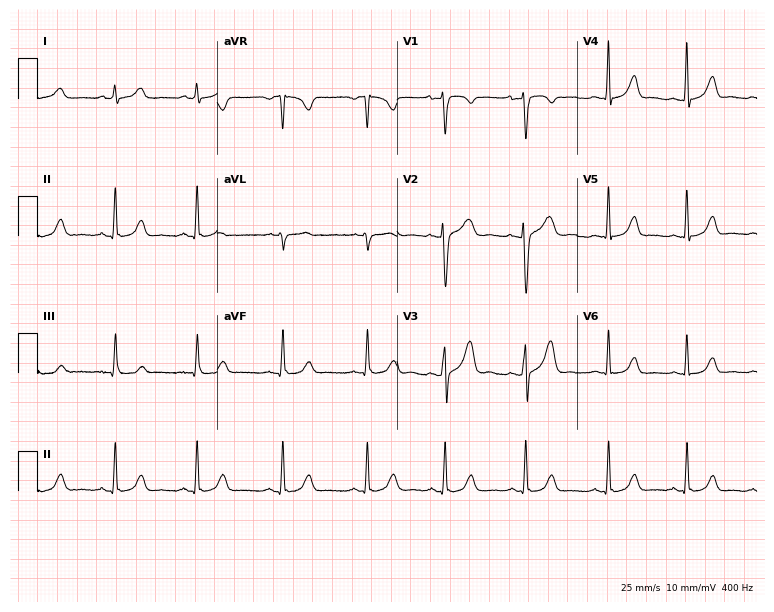
Electrocardiogram (7.3-second recording at 400 Hz), a 26-year-old female patient. Overall reading on record: normal ECG.